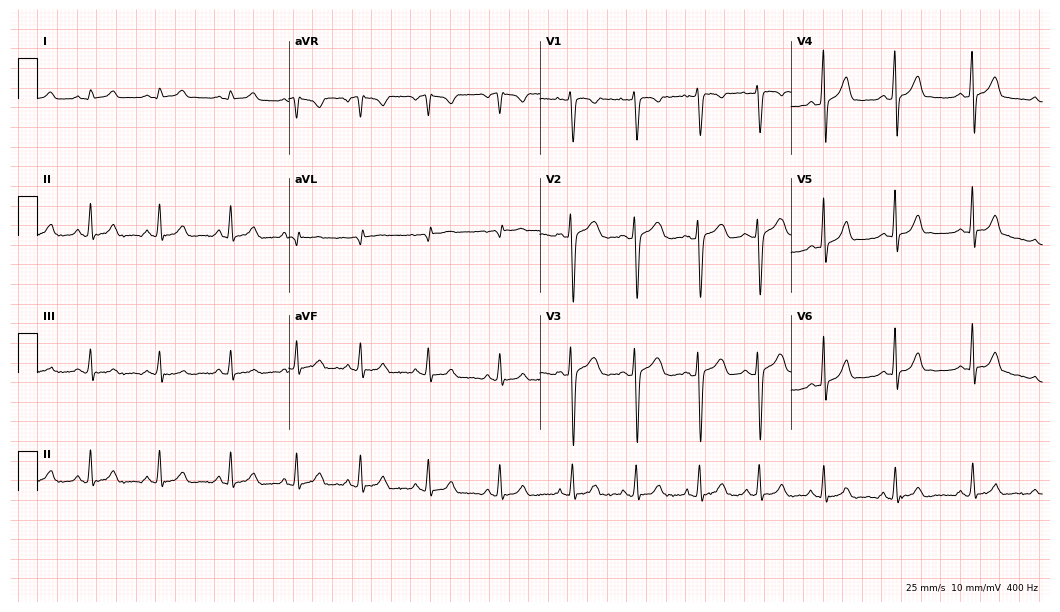
12-lead ECG (10.2-second recording at 400 Hz) from a 22-year-old female patient. Screened for six findings — first-degree AV block, right bundle branch block (RBBB), left bundle branch block (LBBB), sinus bradycardia, atrial fibrillation (AF), sinus tachycardia — none is recorded. Only these six findings were labelled.